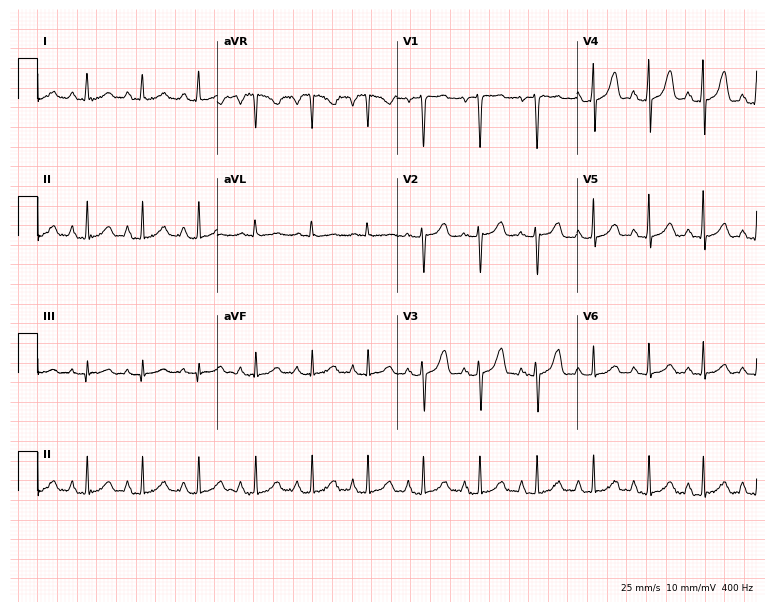
12-lead ECG (7.3-second recording at 400 Hz) from a 41-year-old female. Screened for six findings — first-degree AV block, right bundle branch block, left bundle branch block, sinus bradycardia, atrial fibrillation, sinus tachycardia — none is recorded.